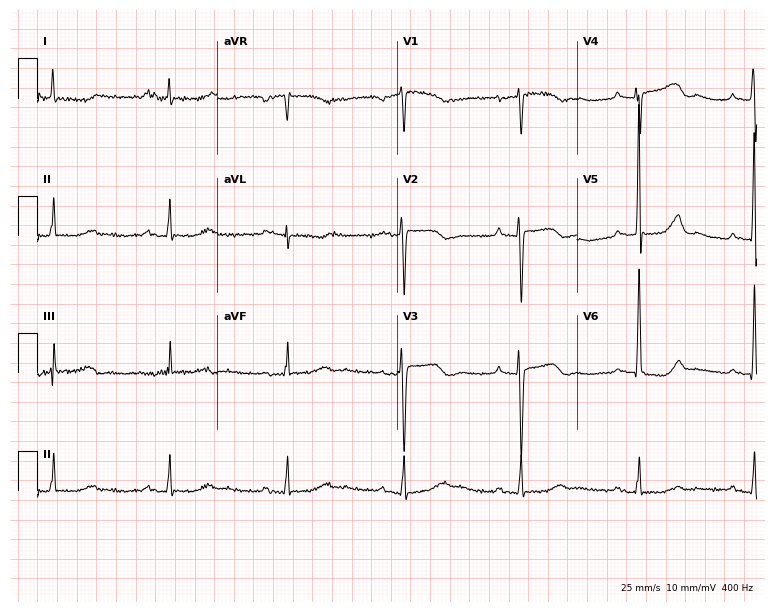
12-lead ECG from a woman, 47 years old. Shows first-degree AV block.